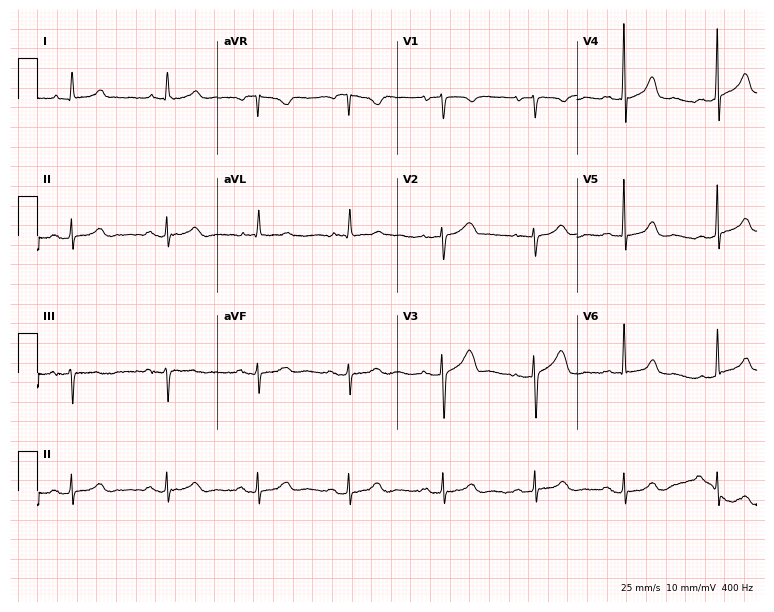
Electrocardiogram, a 72-year-old female. Of the six screened findings (first-degree AV block, right bundle branch block, left bundle branch block, sinus bradycardia, atrial fibrillation, sinus tachycardia), none is recorded.